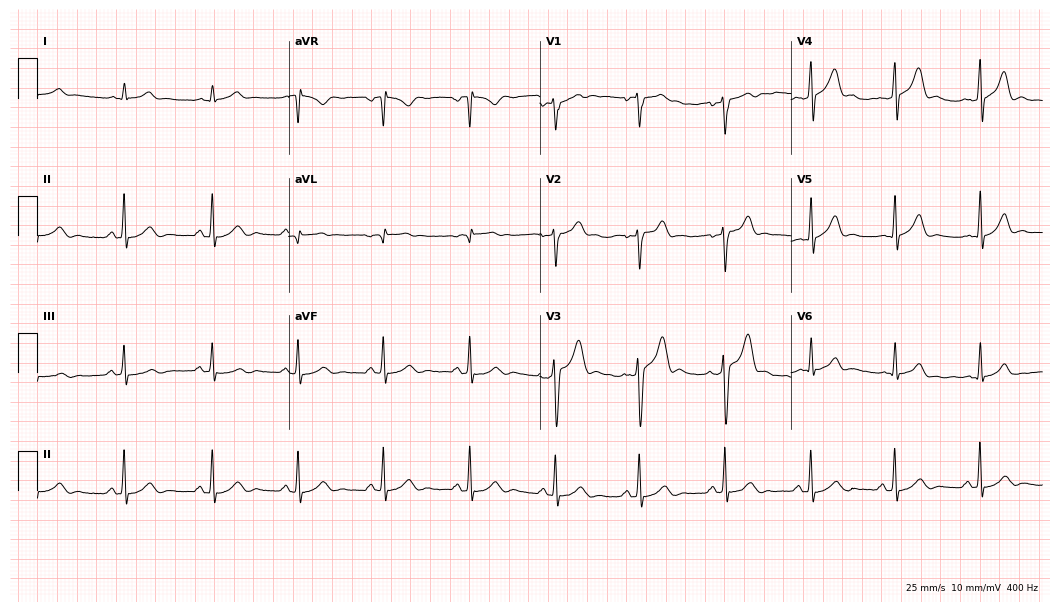
Resting 12-lead electrocardiogram (10.2-second recording at 400 Hz). Patient: a male, 49 years old. Read as a normal ECG.